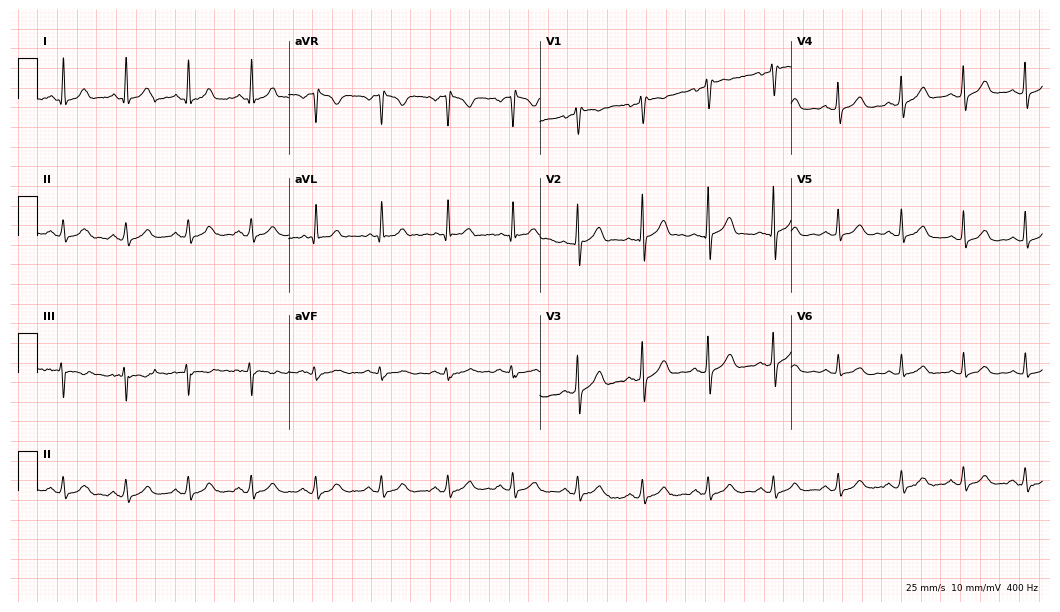
12-lead ECG from a 49-year-old male patient. Labelled as a normal ECG.